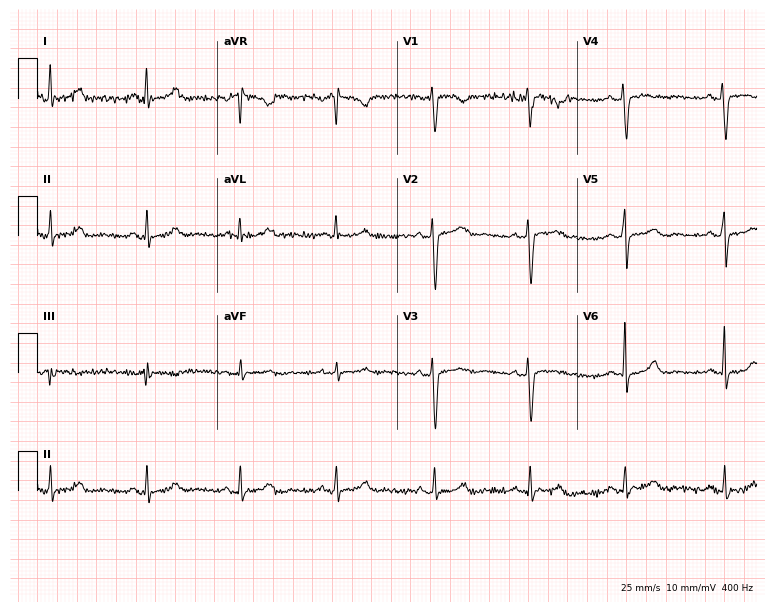
Resting 12-lead electrocardiogram (7.3-second recording at 400 Hz). Patient: a 43-year-old female. Read as a normal ECG.